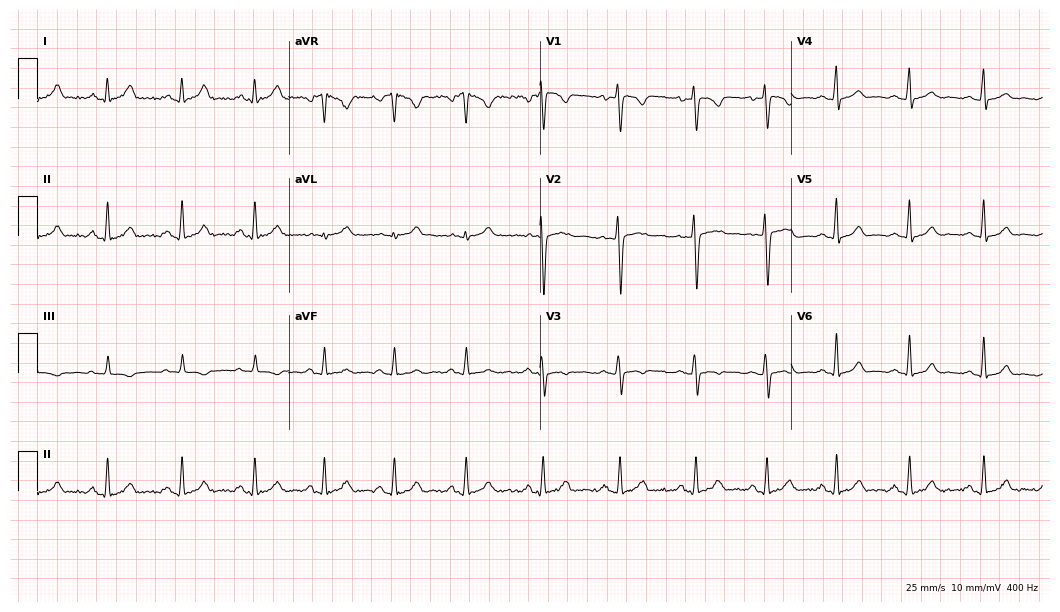
12-lead ECG from a woman, 19 years old (10.2-second recording at 400 Hz). No first-degree AV block, right bundle branch block, left bundle branch block, sinus bradycardia, atrial fibrillation or sinus tachycardia recorded for this tracing.